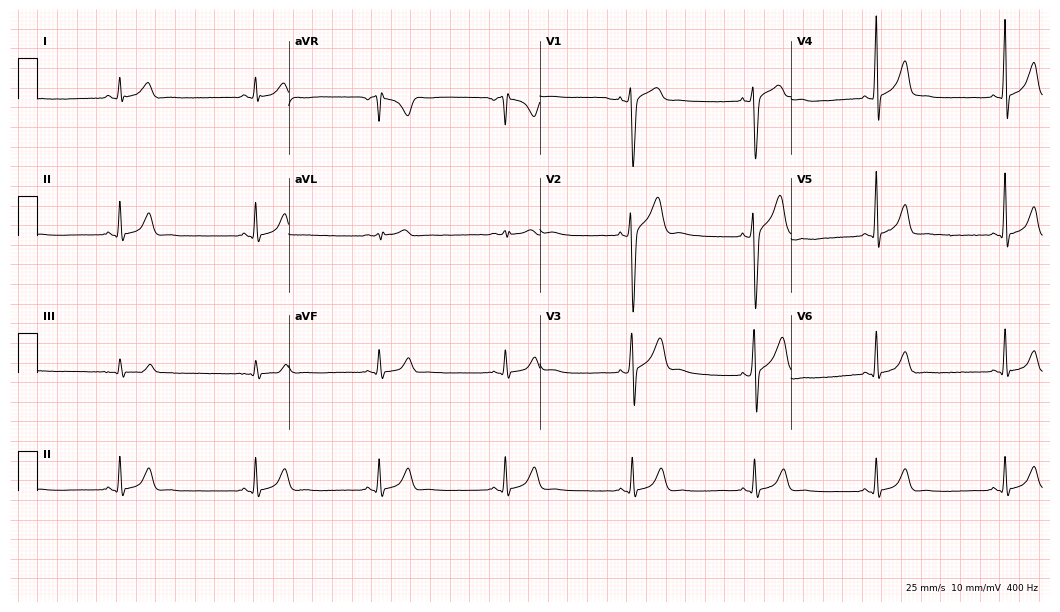
ECG — a 20-year-old man. Findings include sinus bradycardia (a sinus rate of 50 beats per minute or less).